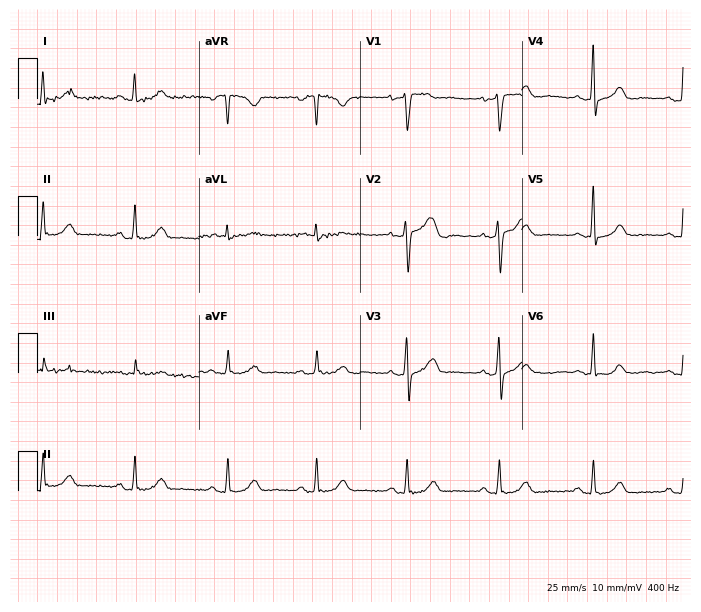
ECG (6.6-second recording at 400 Hz) — a 55-year-old female patient. Screened for six findings — first-degree AV block, right bundle branch block (RBBB), left bundle branch block (LBBB), sinus bradycardia, atrial fibrillation (AF), sinus tachycardia — none is recorded.